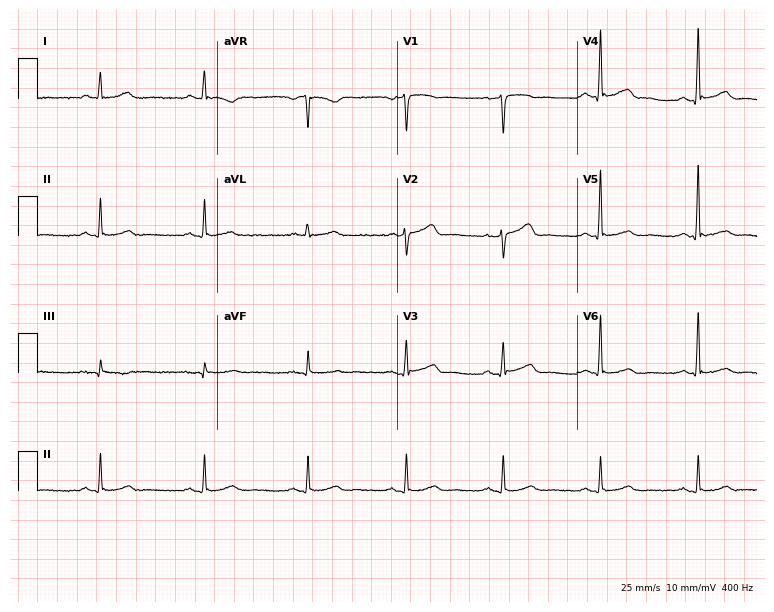
12-lead ECG from a man, 57 years old. Screened for six findings — first-degree AV block, right bundle branch block (RBBB), left bundle branch block (LBBB), sinus bradycardia, atrial fibrillation (AF), sinus tachycardia — none is recorded. Only these six findings were labelled.